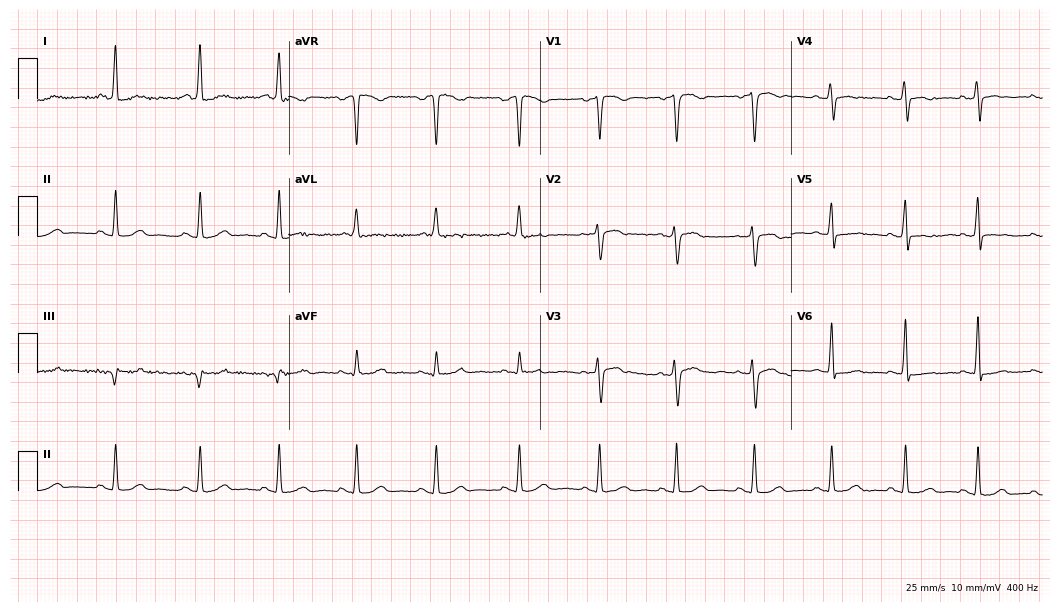
12-lead ECG from a female patient, 50 years old. Screened for six findings — first-degree AV block, right bundle branch block, left bundle branch block, sinus bradycardia, atrial fibrillation, sinus tachycardia — none is recorded.